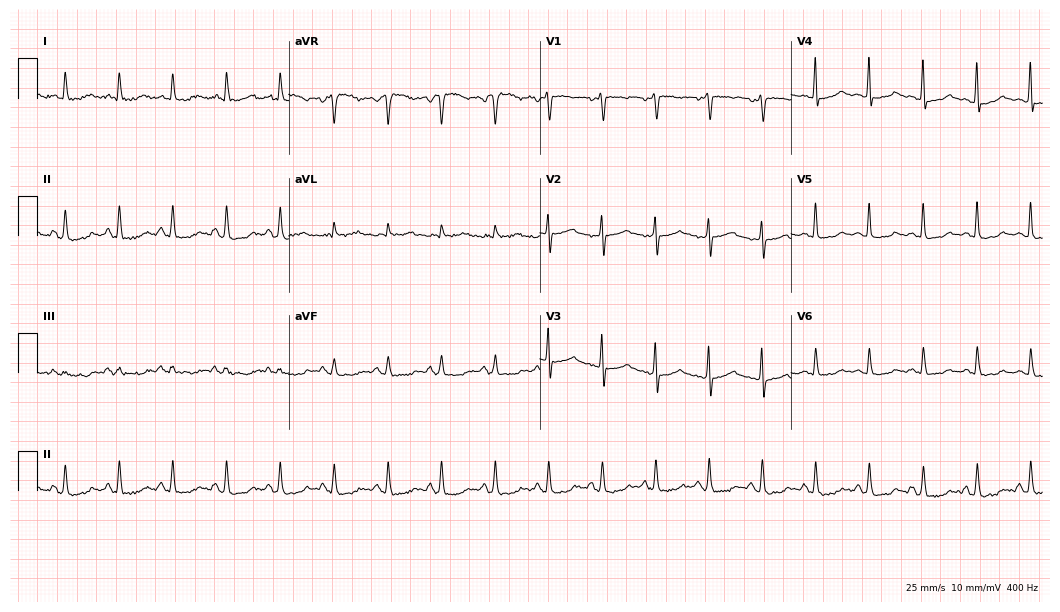
Electrocardiogram (10.2-second recording at 400 Hz), a female patient, 50 years old. Interpretation includes sinus tachycardia (a sinus rate of 100 beats per minute or more).